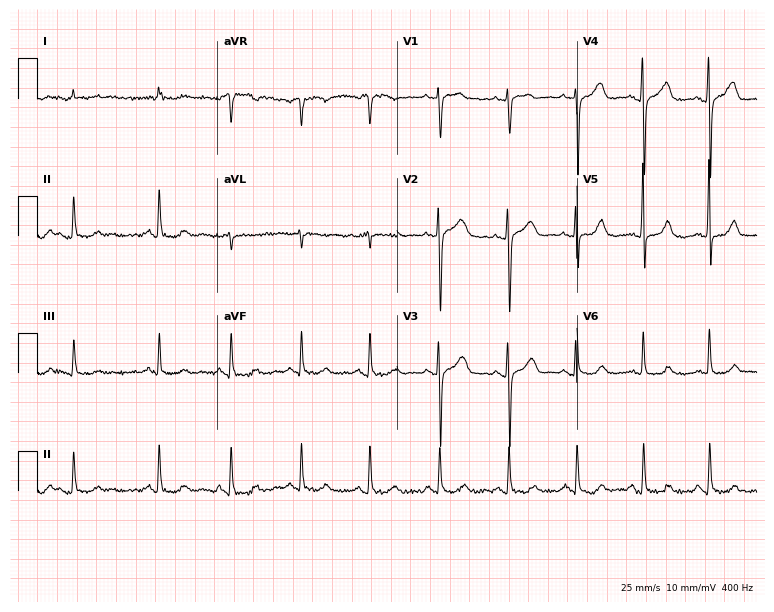
Resting 12-lead electrocardiogram (7.3-second recording at 400 Hz). Patient: an 80-year-old woman. None of these six findings is recorded: first-degree AV block, right bundle branch block, left bundle branch block, sinus bradycardia, atrial fibrillation, sinus tachycardia.